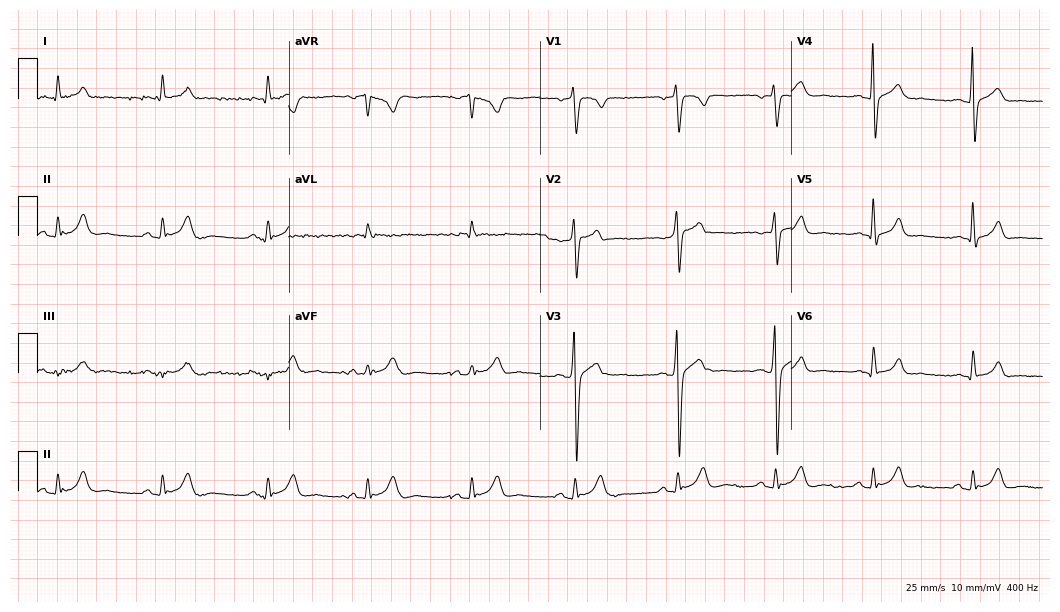
Standard 12-lead ECG recorded from a man, 35 years old. None of these six findings is recorded: first-degree AV block, right bundle branch block, left bundle branch block, sinus bradycardia, atrial fibrillation, sinus tachycardia.